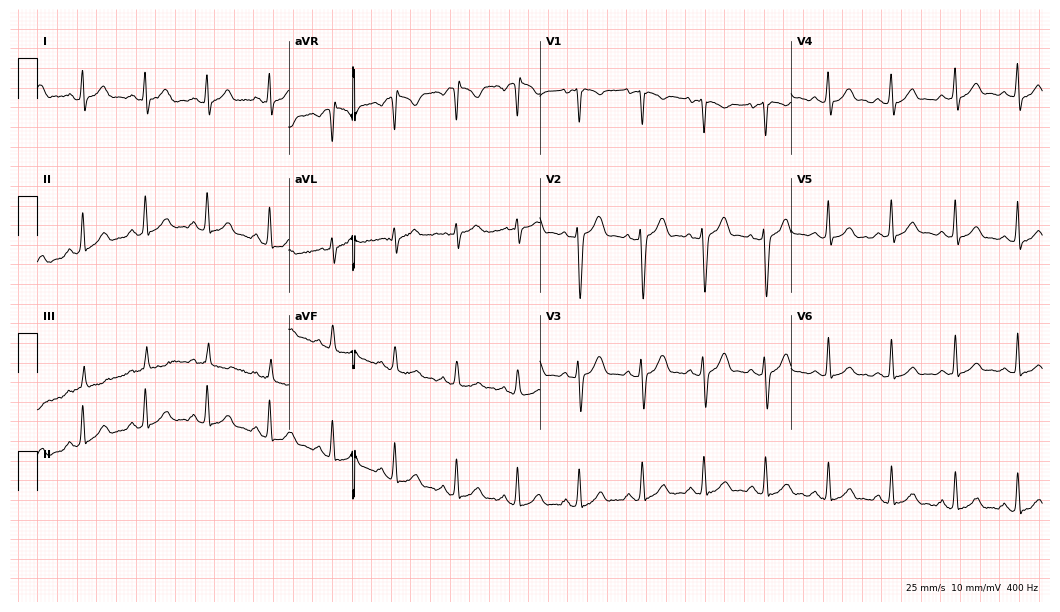
12-lead ECG from a man, 19 years old. Labelled as a normal ECG.